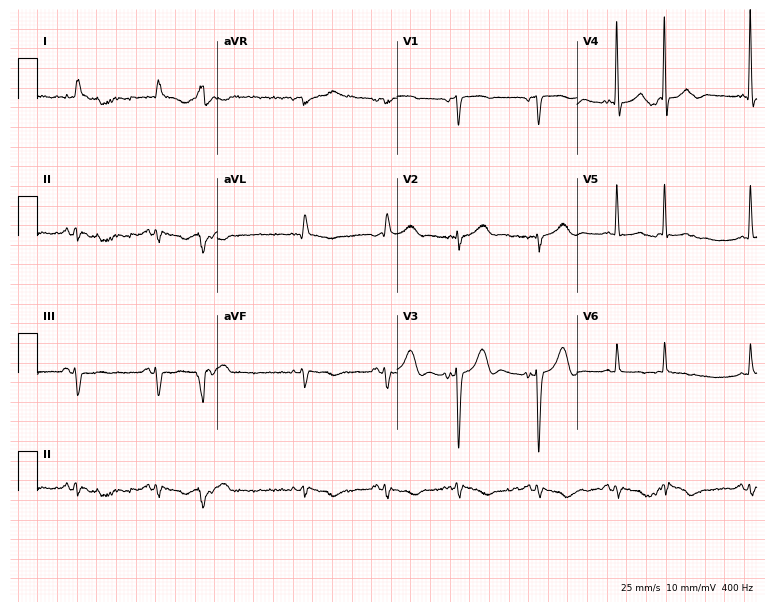
12-lead ECG from an 83-year-old male patient (7.3-second recording at 400 Hz). No first-degree AV block, right bundle branch block, left bundle branch block, sinus bradycardia, atrial fibrillation or sinus tachycardia recorded for this tracing.